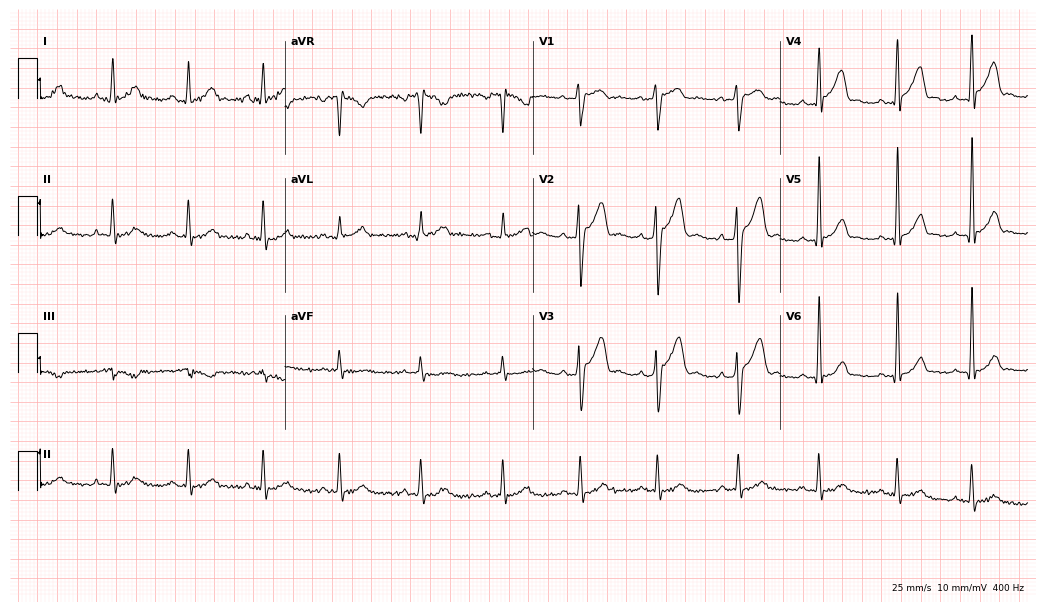
Standard 12-lead ECG recorded from a 17-year-old man (10.1-second recording at 400 Hz). Read as a normal ECG.